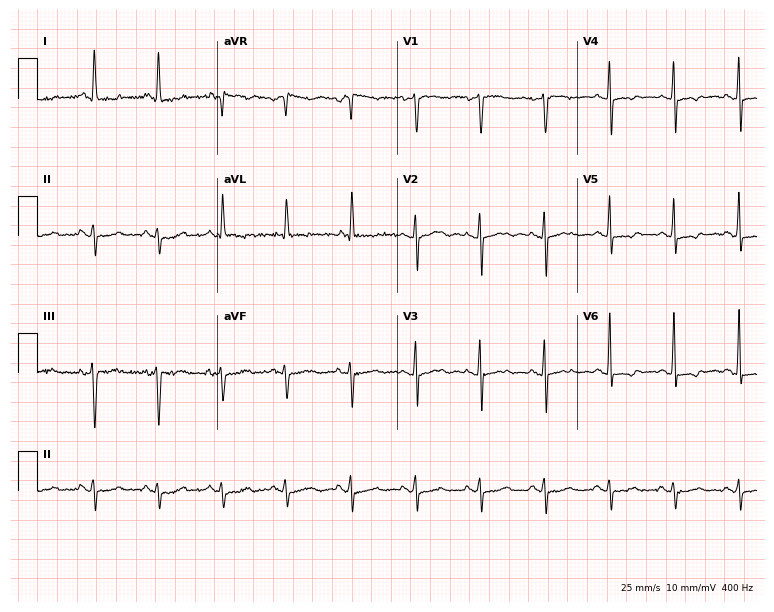
12-lead ECG from a woman, 60 years old. Screened for six findings — first-degree AV block, right bundle branch block, left bundle branch block, sinus bradycardia, atrial fibrillation, sinus tachycardia — none is recorded. Other findings, if any, are not listed.